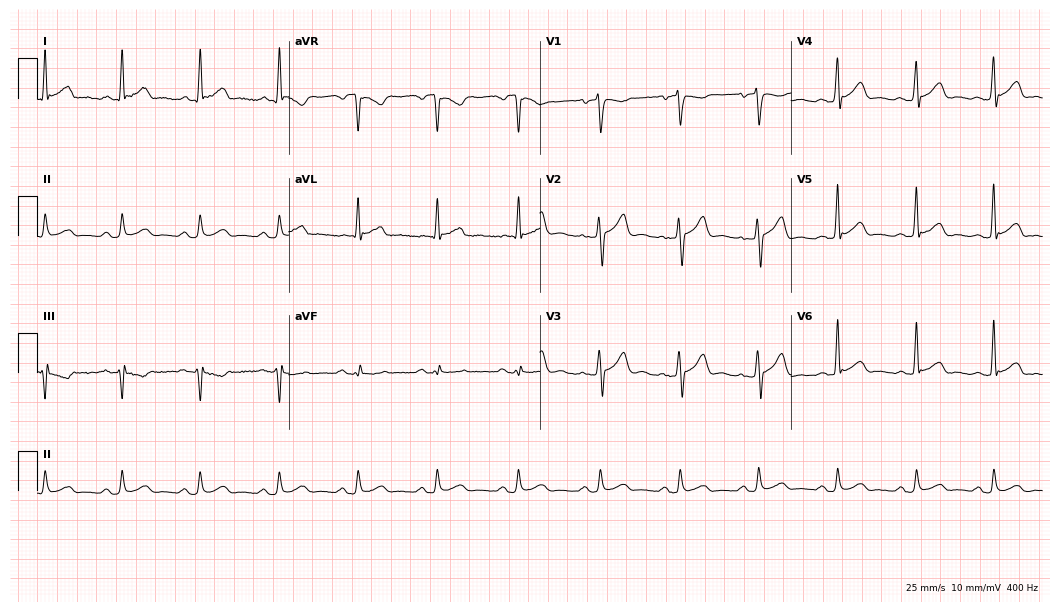
12-lead ECG from a man, 48 years old. Labelled as a normal ECG.